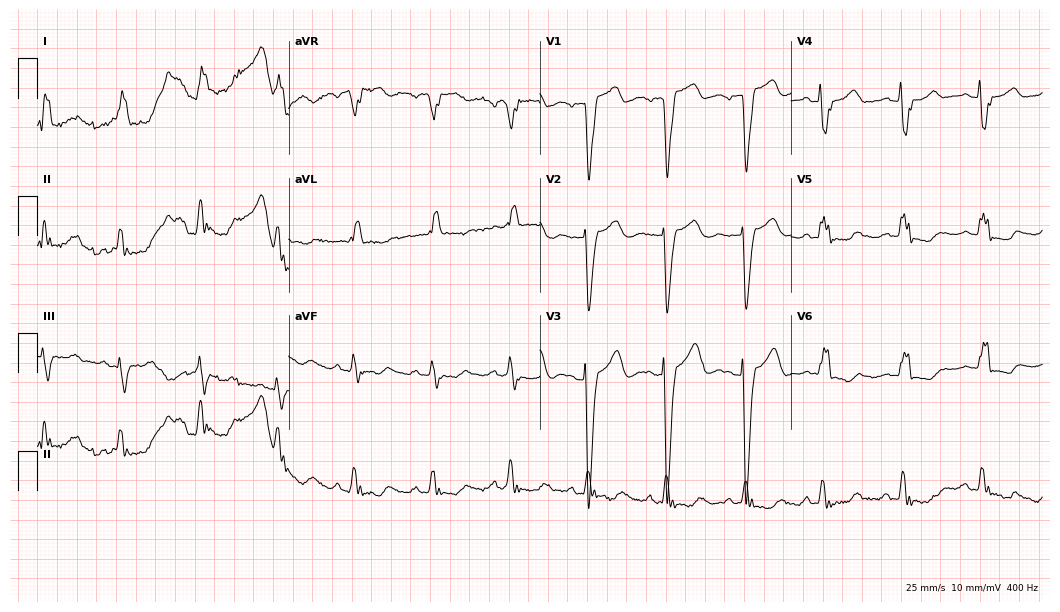
ECG — a 70-year-old female patient. Screened for six findings — first-degree AV block, right bundle branch block, left bundle branch block, sinus bradycardia, atrial fibrillation, sinus tachycardia — none is recorded. Findings outside these six are not listed.